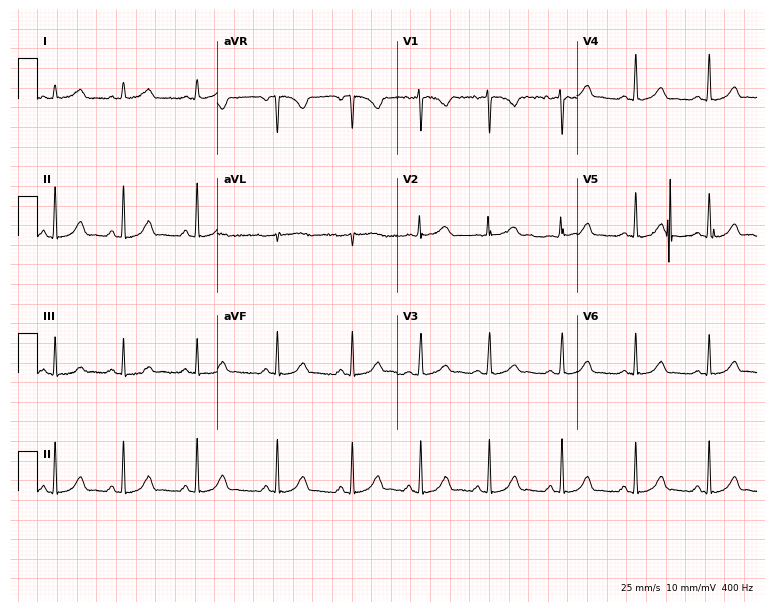
Electrocardiogram, a 20-year-old female. Overall reading on record: normal ECG.